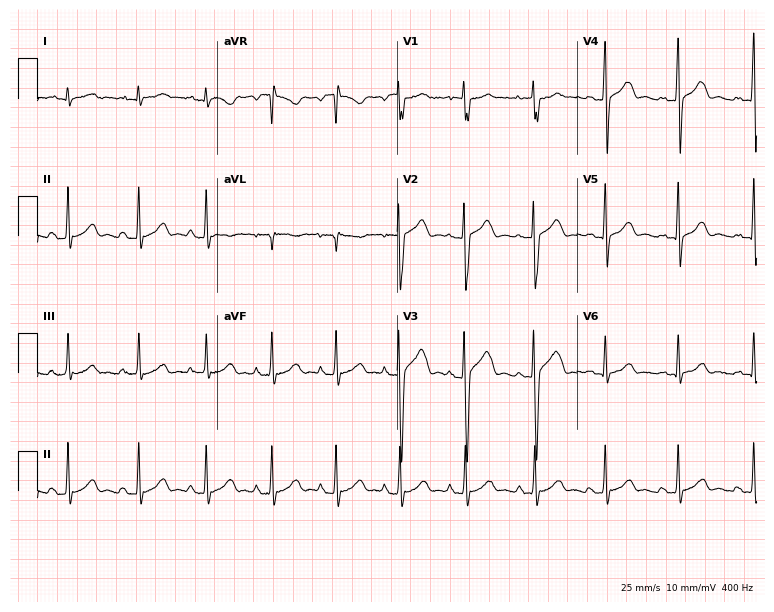
12-lead ECG from an 18-year-old male patient. Labelled as a normal ECG.